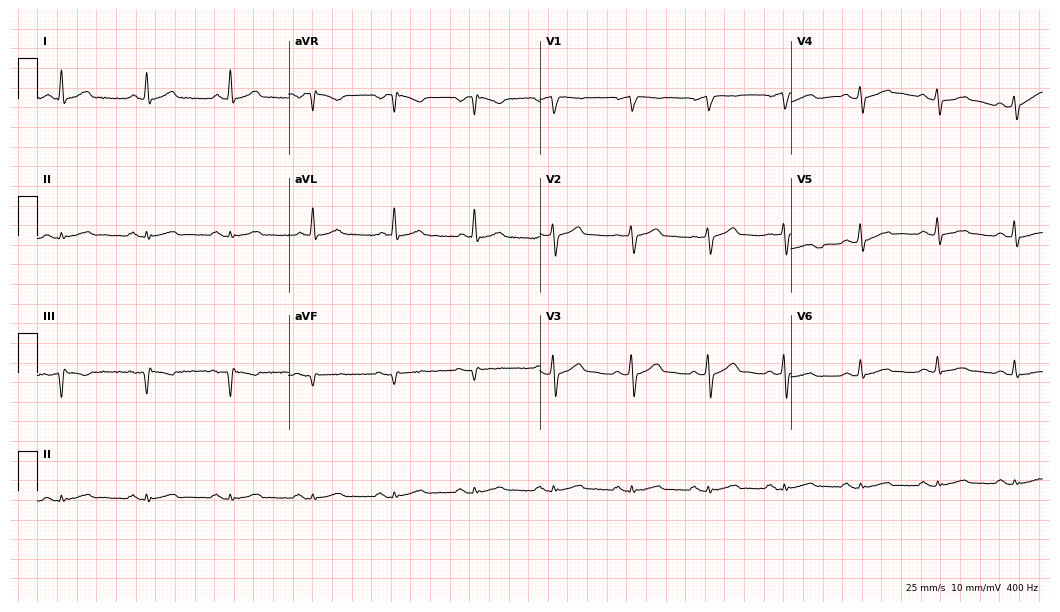
12-lead ECG (10.2-second recording at 400 Hz) from a male, 59 years old. Screened for six findings — first-degree AV block, right bundle branch block, left bundle branch block, sinus bradycardia, atrial fibrillation, sinus tachycardia — none is recorded.